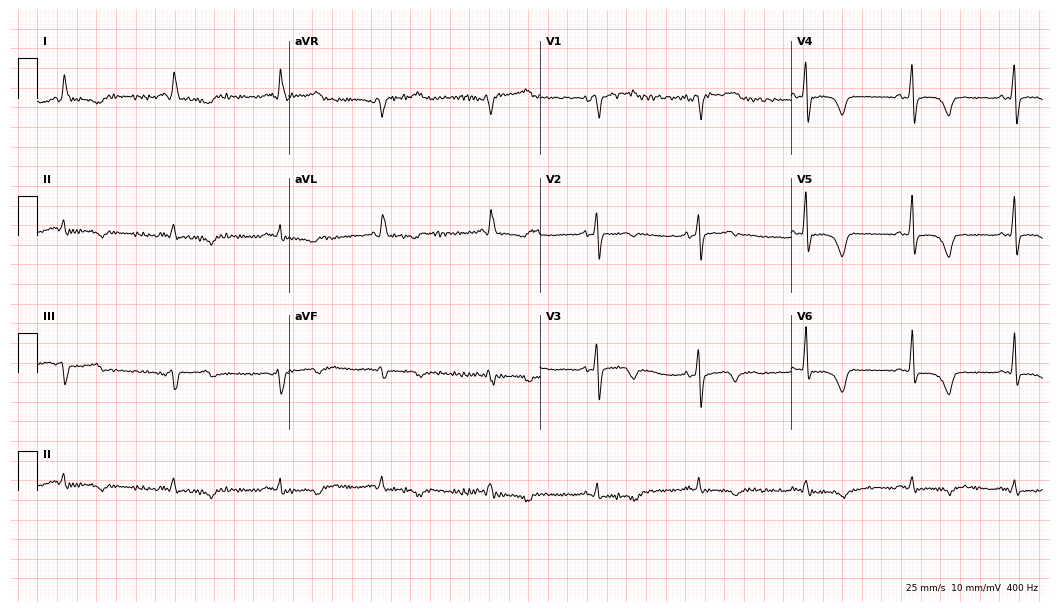
Standard 12-lead ECG recorded from a 79-year-old female (10.2-second recording at 400 Hz). None of these six findings is recorded: first-degree AV block, right bundle branch block (RBBB), left bundle branch block (LBBB), sinus bradycardia, atrial fibrillation (AF), sinus tachycardia. Other findings, if any, are not listed.